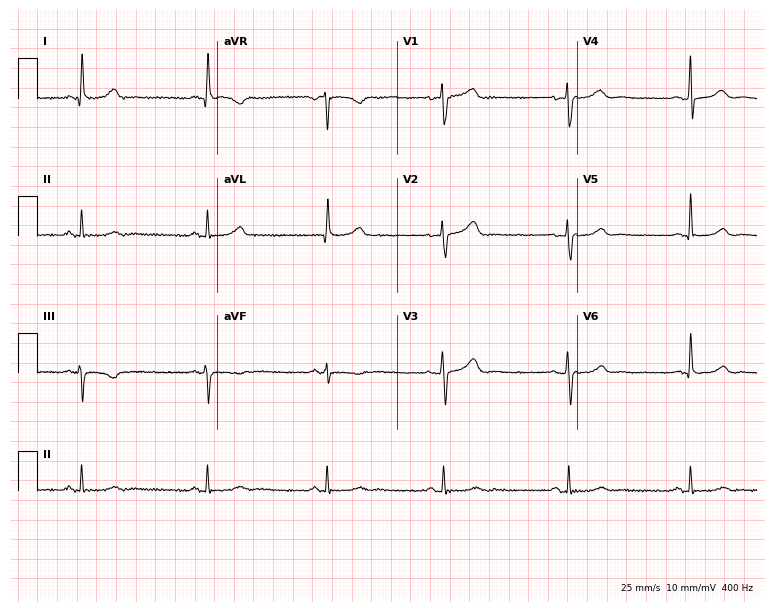
12-lead ECG from a 60-year-old woman. Recorded interpretation: within normal limits.